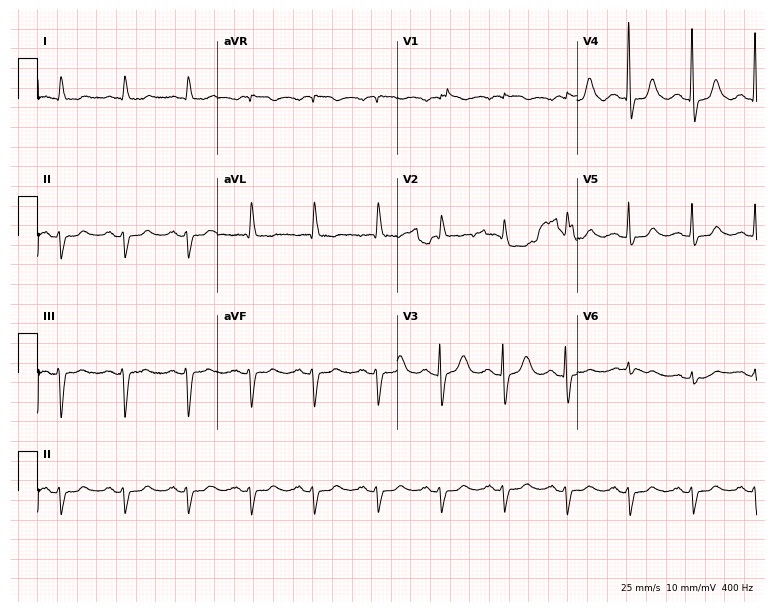
12-lead ECG (7.3-second recording at 400 Hz) from an 84-year-old female patient. Screened for six findings — first-degree AV block, right bundle branch block, left bundle branch block, sinus bradycardia, atrial fibrillation, sinus tachycardia — none is recorded. Findings outside these six are not listed.